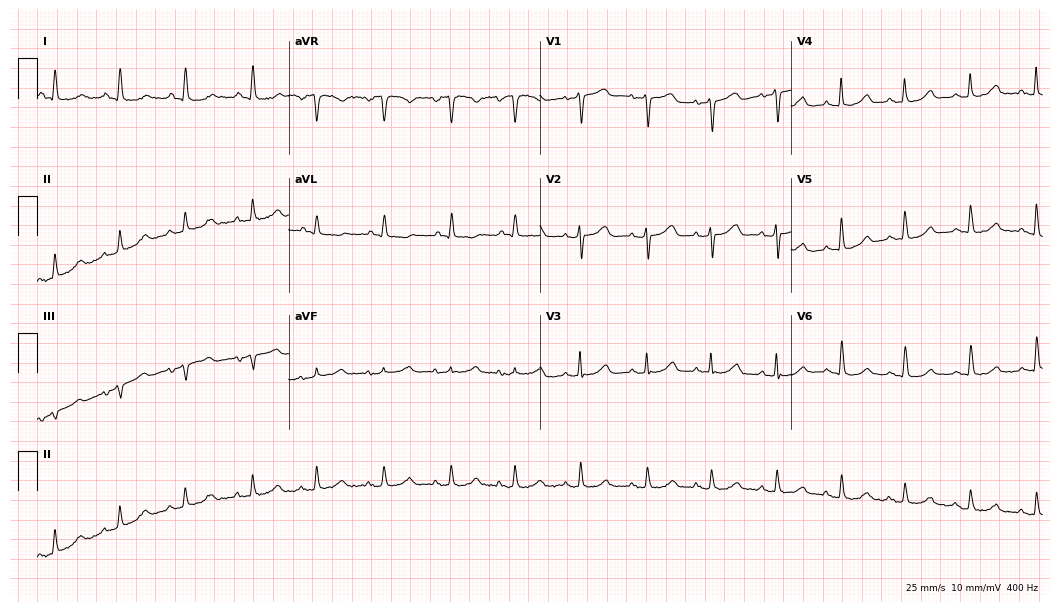
Standard 12-lead ECG recorded from an 80-year-old woman (10.2-second recording at 400 Hz). Read as a normal ECG.